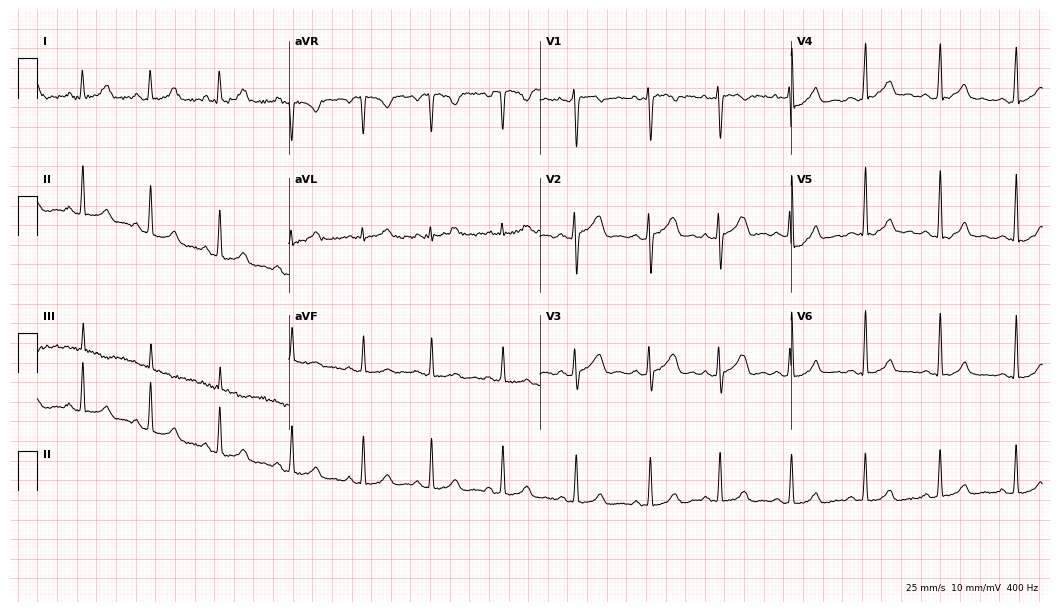
Resting 12-lead electrocardiogram. Patient: a 23-year-old female. None of these six findings is recorded: first-degree AV block, right bundle branch block, left bundle branch block, sinus bradycardia, atrial fibrillation, sinus tachycardia. Findings outside these six are not listed.